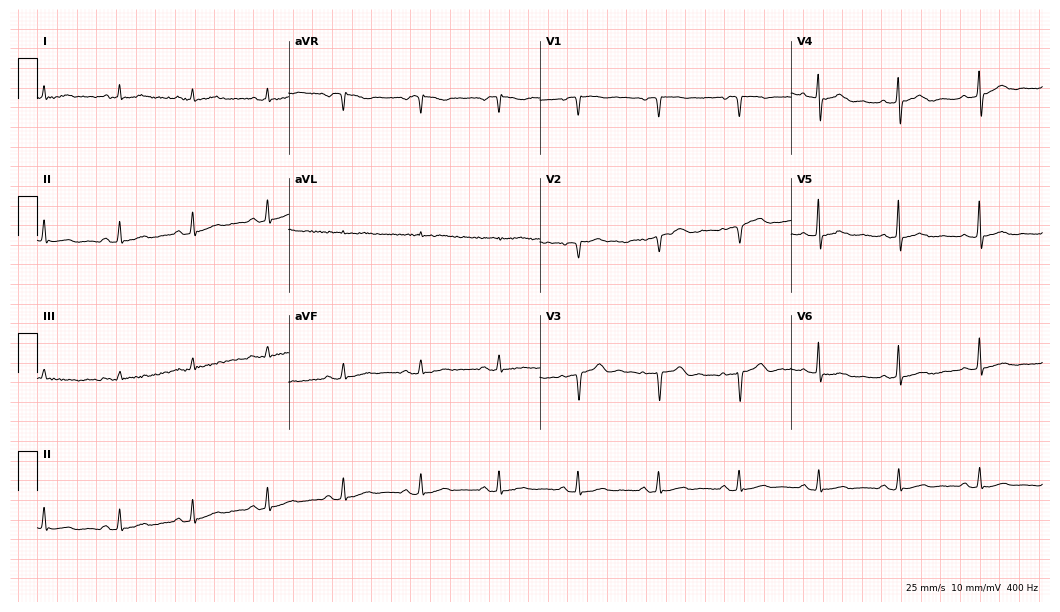
12-lead ECG (10.2-second recording at 400 Hz) from a 65-year-old female. Labelled as a normal ECG.